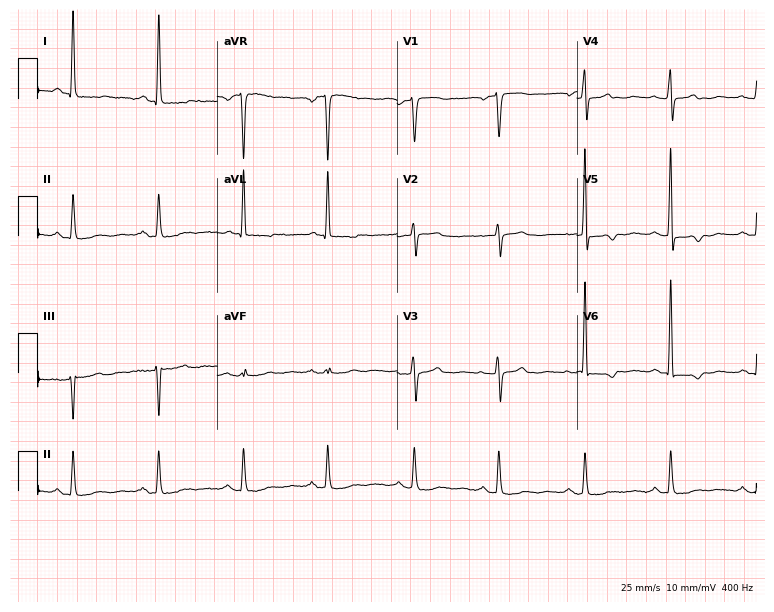
ECG (7.3-second recording at 400 Hz) — a female, 75 years old. Screened for six findings — first-degree AV block, right bundle branch block, left bundle branch block, sinus bradycardia, atrial fibrillation, sinus tachycardia — none is recorded. Findings outside these six are not listed.